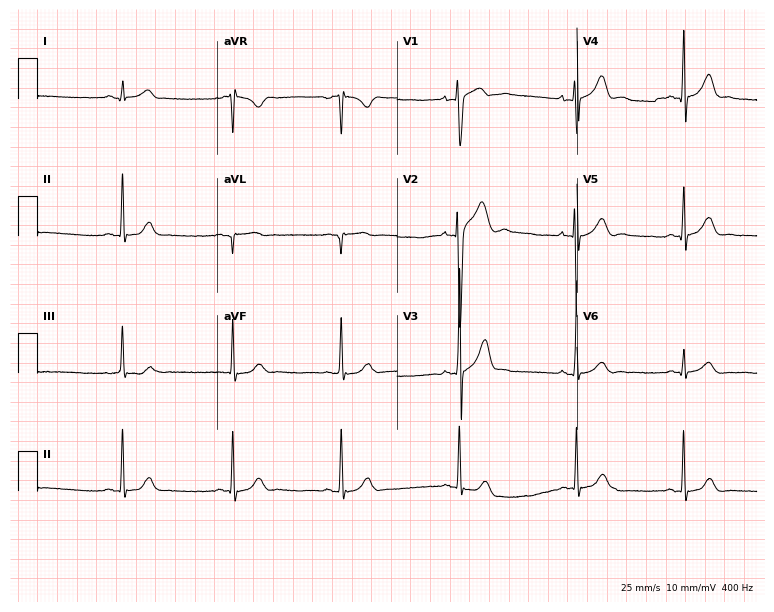
12-lead ECG from a male patient, 19 years old (7.3-second recording at 400 Hz). Recorded interpretation: within normal limits.